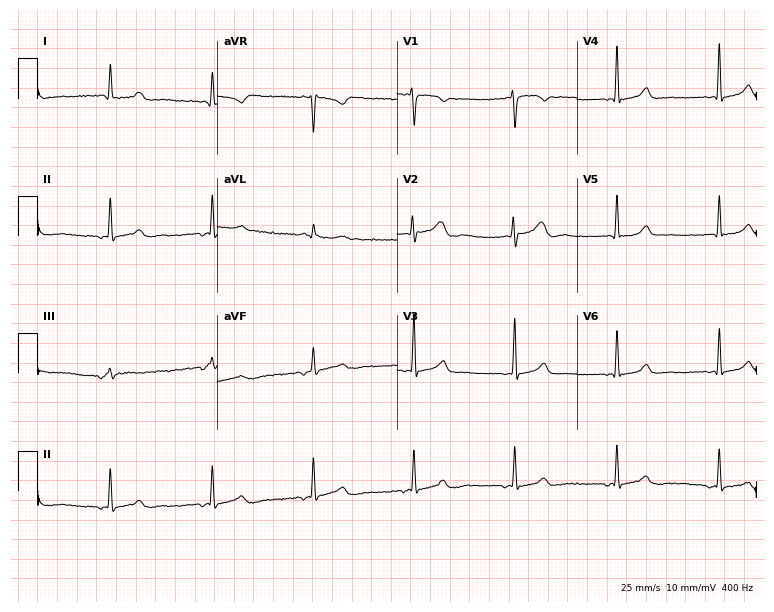
Resting 12-lead electrocardiogram (7.3-second recording at 400 Hz). Patient: a 29-year-old female. None of these six findings is recorded: first-degree AV block, right bundle branch block, left bundle branch block, sinus bradycardia, atrial fibrillation, sinus tachycardia. Other findings, if any, are not listed.